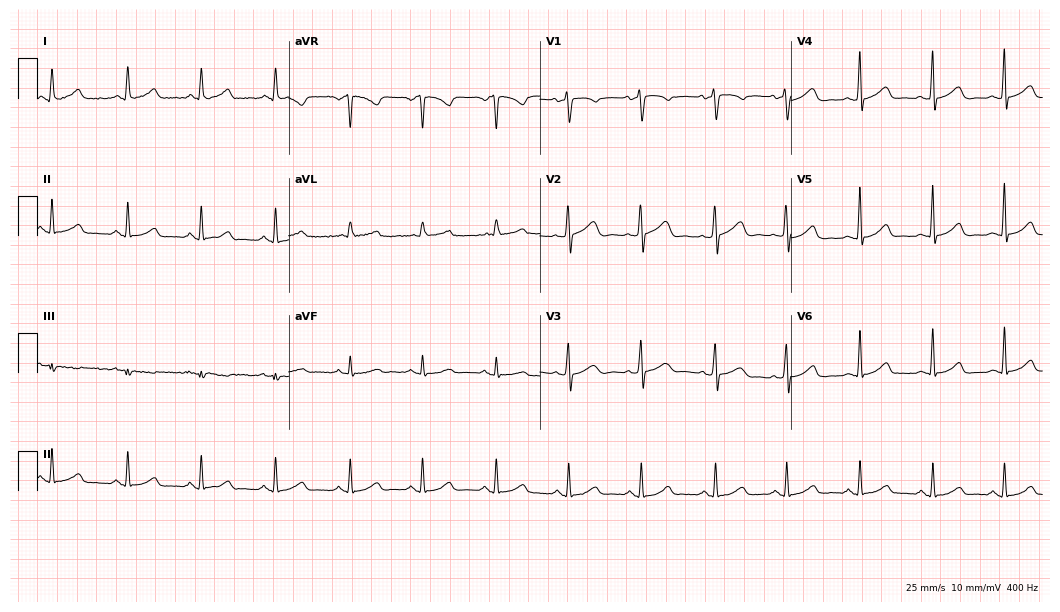
12-lead ECG from a 43-year-old female (10.2-second recording at 400 Hz). Recorded interpretation: within normal limits.